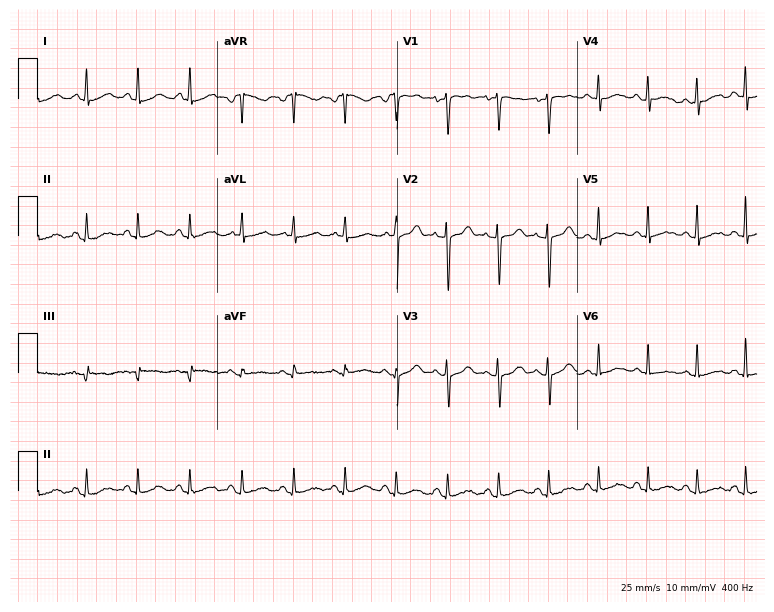
Electrocardiogram, a female patient, 42 years old. Interpretation includes sinus tachycardia (a sinus rate of 100 beats per minute or more).